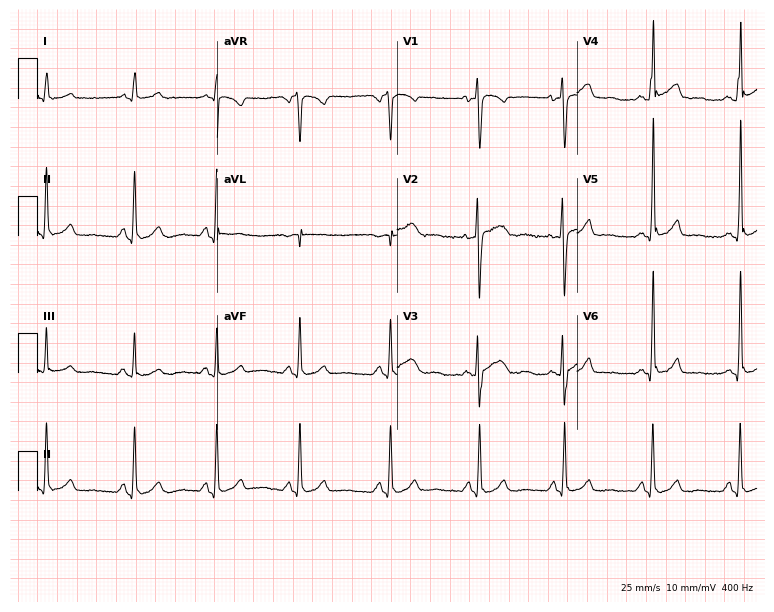
12-lead ECG from a woman, 23 years old. Screened for six findings — first-degree AV block, right bundle branch block, left bundle branch block, sinus bradycardia, atrial fibrillation, sinus tachycardia — none is recorded. Only these six findings were labelled.